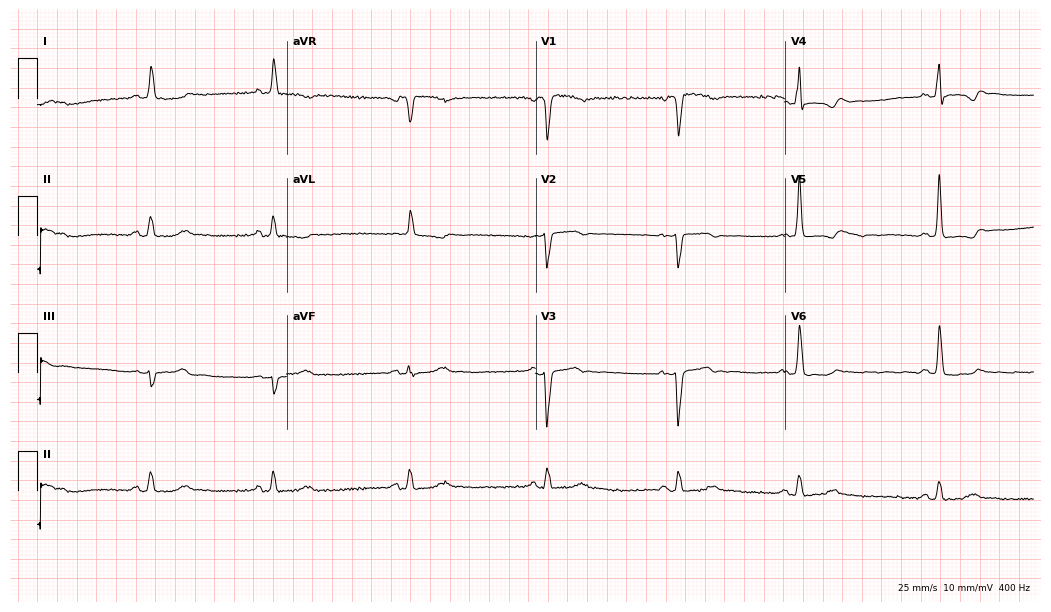
Standard 12-lead ECG recorded from a 75-year-old female patient. The tracing shows sinus bradycardia (a sinus rate of 50 beats per minute or less).